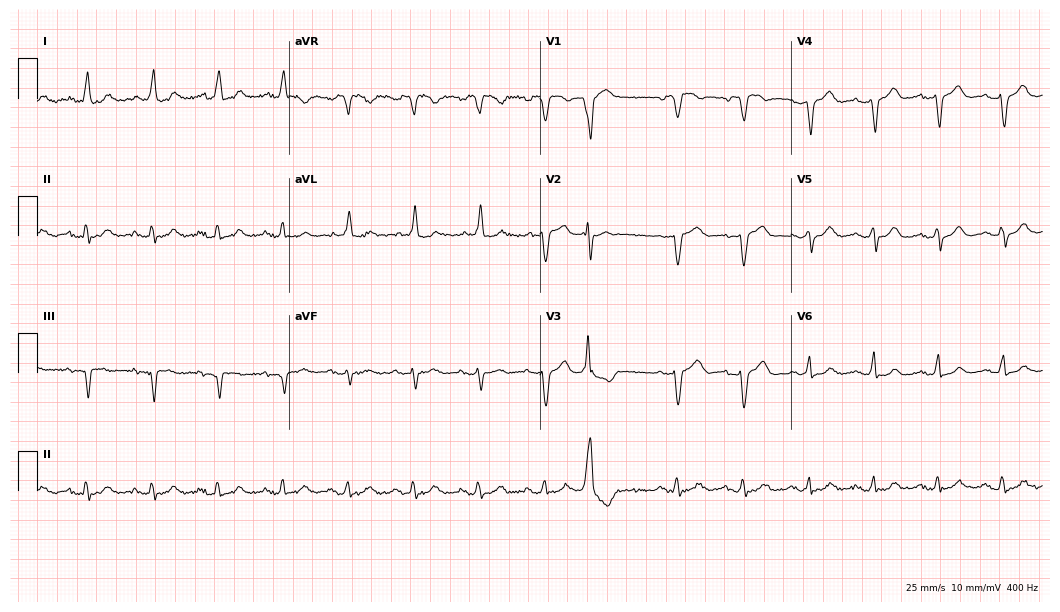
Standard 12-lead ECG recorded from a female patient, 82 years old (10.2-second recording at 400 Hz). None of these six findings is recorded: first-degree AV block, right bundle branch block, left bundle branch block, sinus bradycardia, atrial fibrillation, sinus tachycardia.